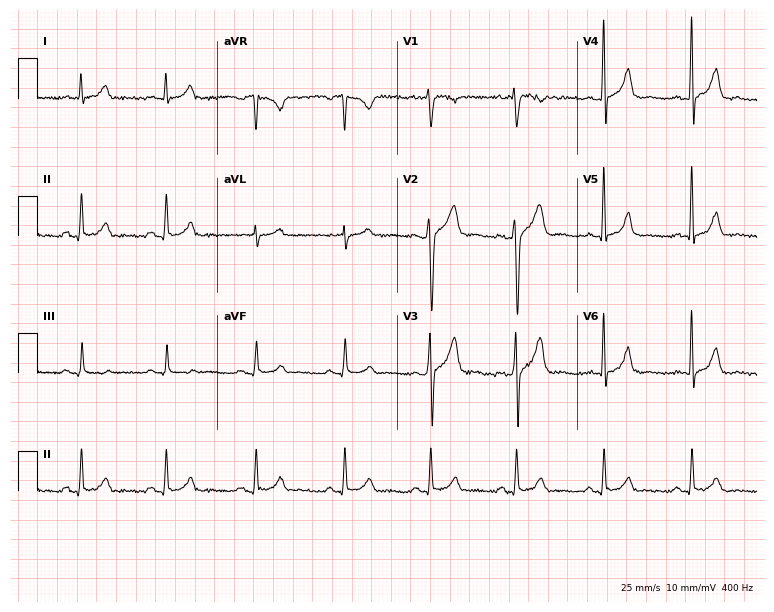
Standard 12-lead ECG recorded from a male, 43 years old (7.3-second recording at 400 Hz). None of these six findings is recorded: first-degree AV block, right bundle branch block, left bundle branch block, sinus bradycardia, atrial fibrillation, sinus tachycardia.